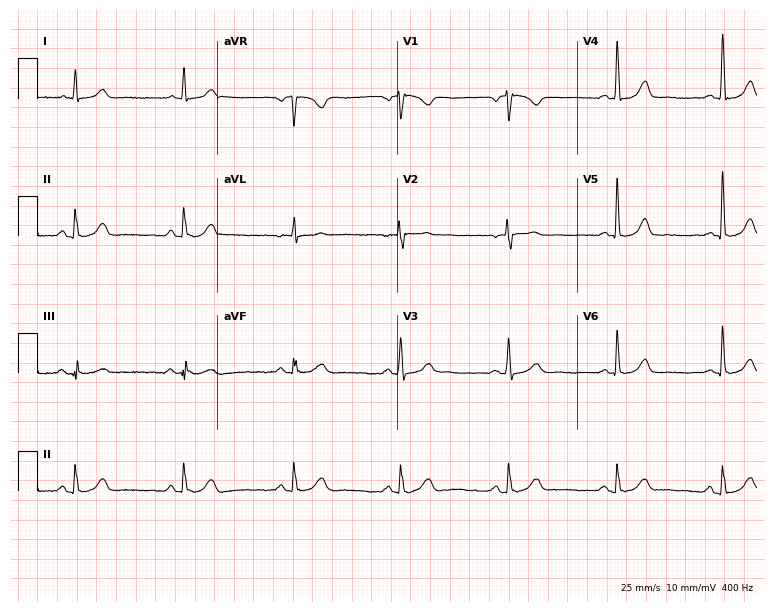
Electrocardiogram, a female patient, 60 years old. Of the six screened findings (first-degree AV block, right bundle branch block, left bundle branch block, sinus bradycardia, atrial fibrillation, sinus tachycardia), none is recorded.